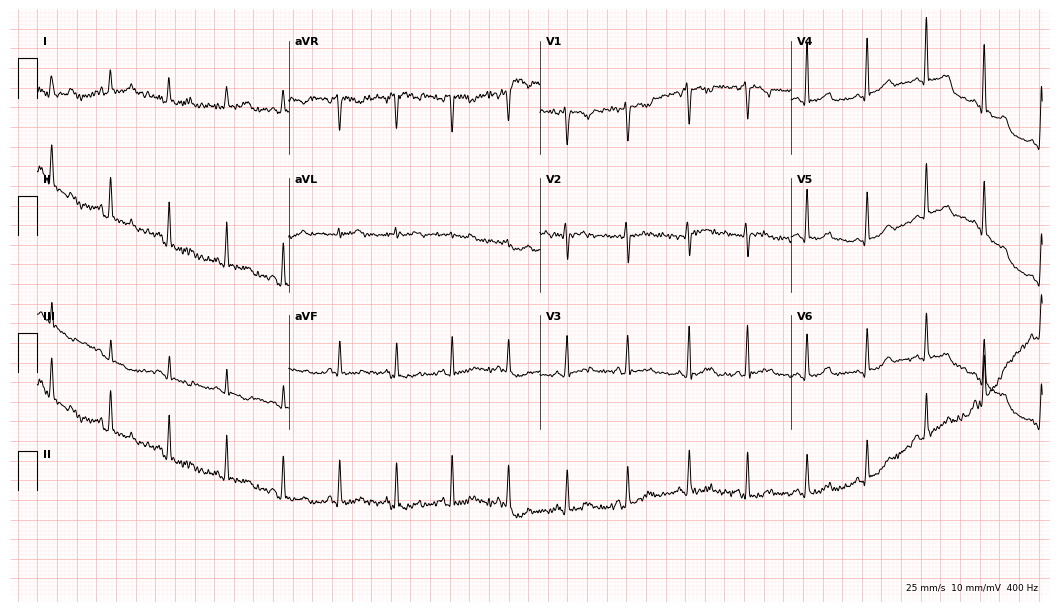
ECG — a 25-year-old female patient. Screened for six findings — first-degree AV block, right bundle branch block (RBBB), left bundle branch block (LBBB), sinus bradycardia, atrial fibrillation (AF), sinus tachycardia — none is recorded. Other findings, if any, are not listed.